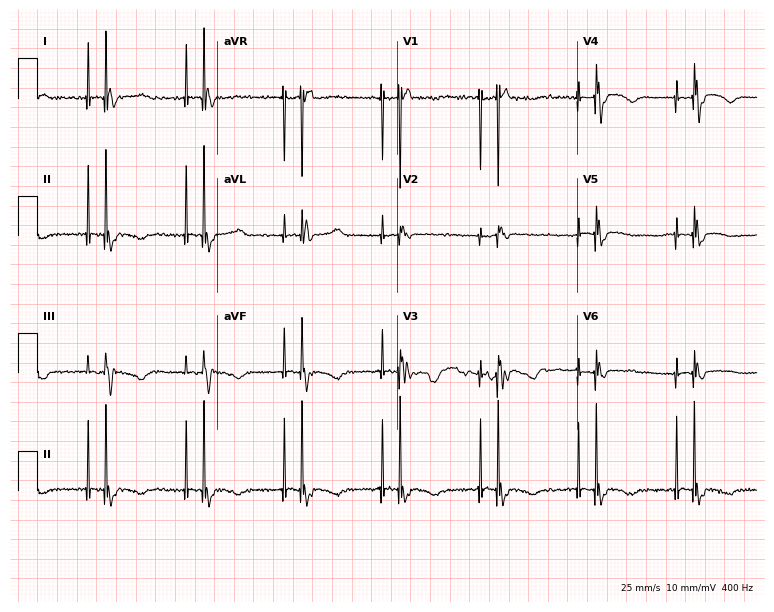
Resting 12-lead electrocardiogram. Patient: a 78-year-old female. None of these six findings is recorded: first-degree AV block, right bundle branch block, left bundle branch block, sinus bradycardia, atrial fibrillation, sinus tachycardia. Only these six findings were labelled.